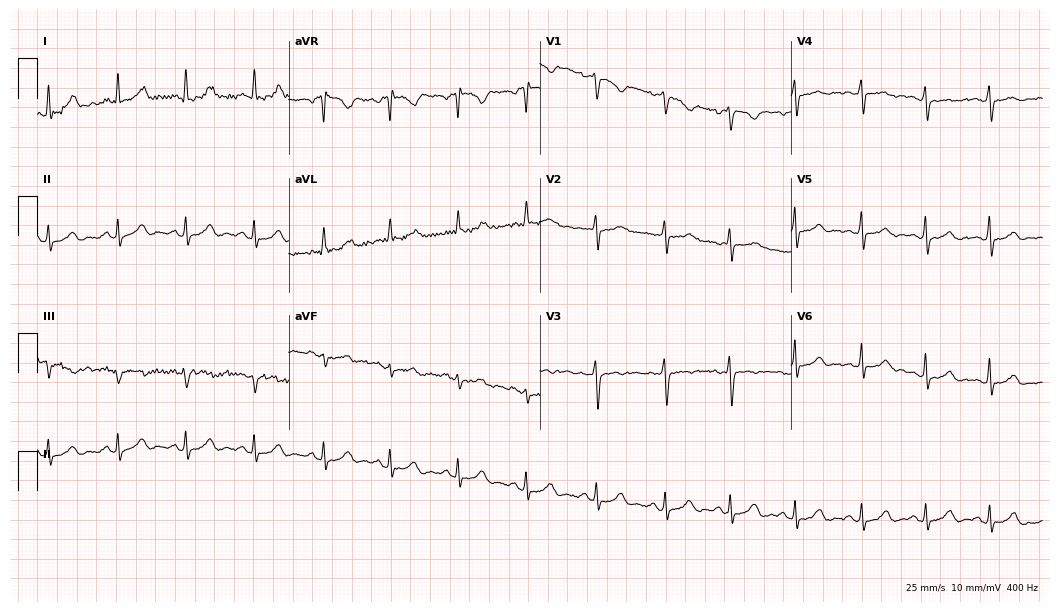
Resting 12-lead electrocardiogram. Patient: a female, 34 years old. Read as a normal ECG.